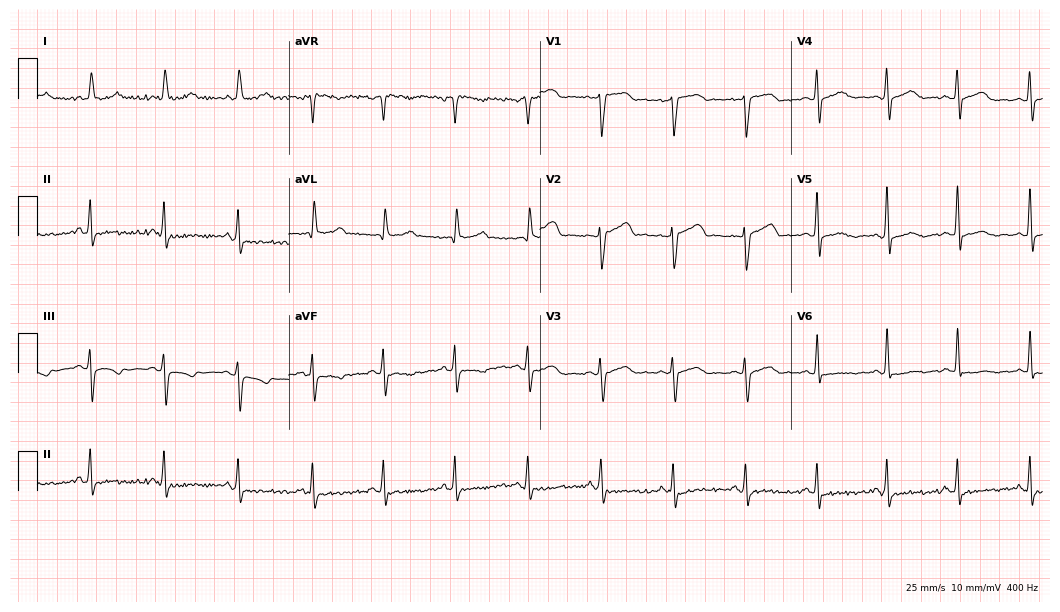
12-lead ECG from a female patient, 63 years old. Screened for six findings — first-degree AV block, right bundle branch block, left bundle branch block, sinus bradycardia, atrial fibrillation, sinus tachycardia — none is recorded.